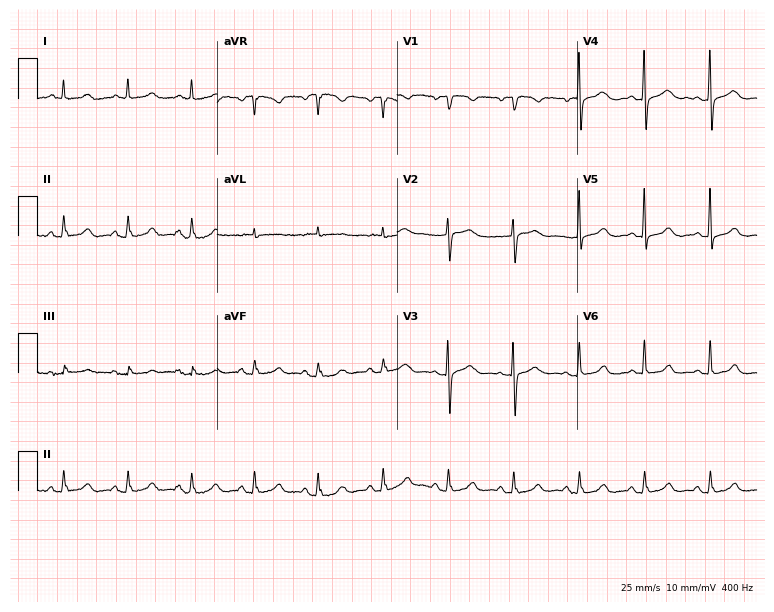
Standard 12-lead ECG recorded from a 78-year-old female. Read as a normal ECG.